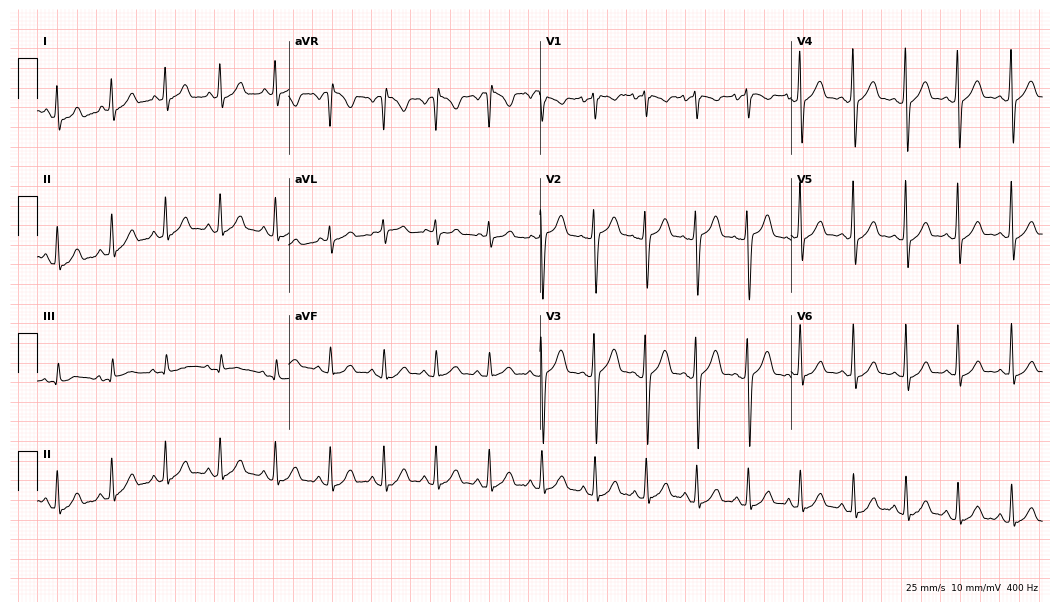
Resting 12-lead electrocardiogram. Patient: a male, 22 years old. The tracing shows sinus tachycardia (a sinus rate of 100 beats per minute or more).